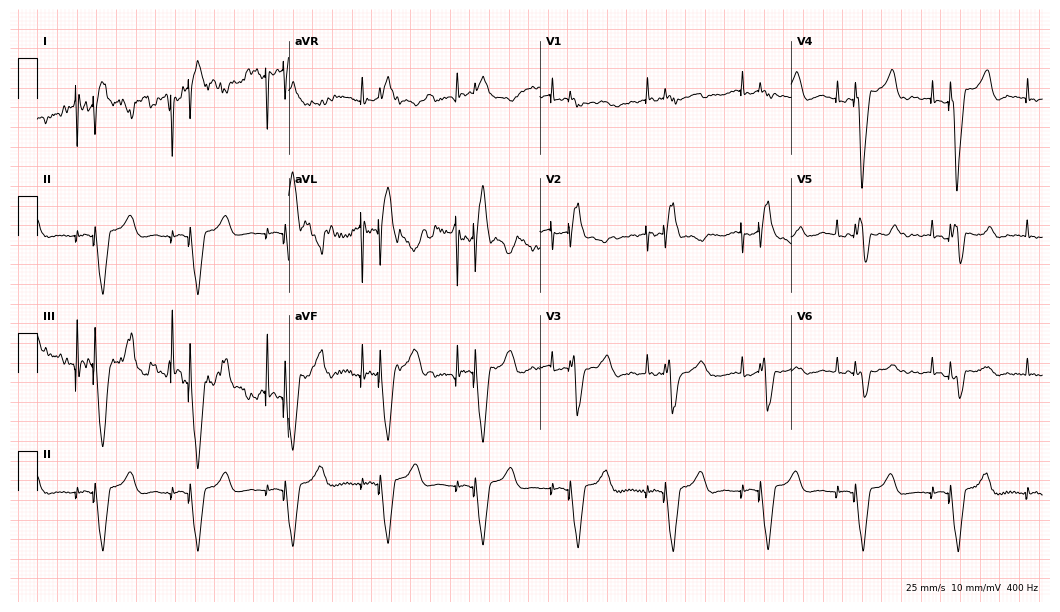
ECG (10.2-second recording at 400 Hz) — a 70-year-old female. Screened for six findings — first-degree AV block, right bundle branch block, left bundle branch block, sinus bradycardia, atrial fibrillation, sinus tachycardia — none is recorded.